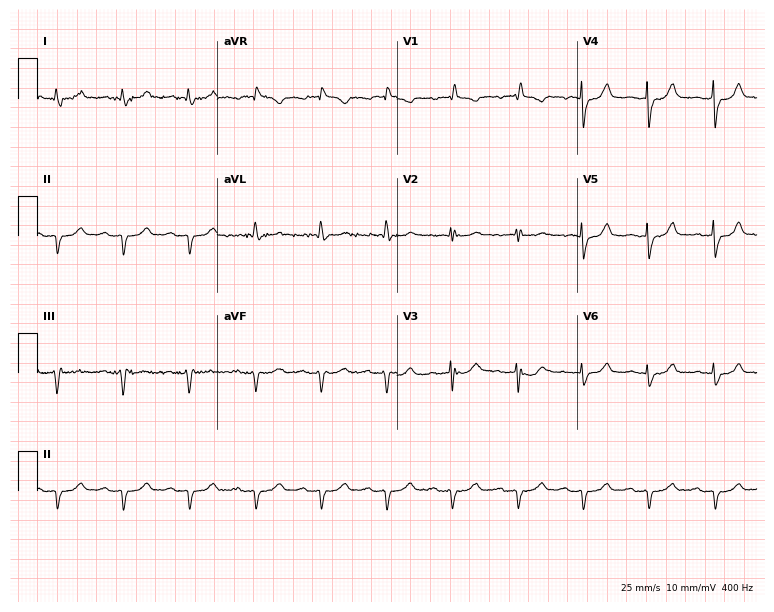
12-lead ECG from an 80-year-old male (7.3-second recording at 400 Hz). No first-degree AV block, right bundle branch block (RBBB), left bundle branch block (LBBB), sinus bradycardia, atrial fibrillation (AF) or sinus tachycardia recorded for this tracing. Findings outside these six are not listed.